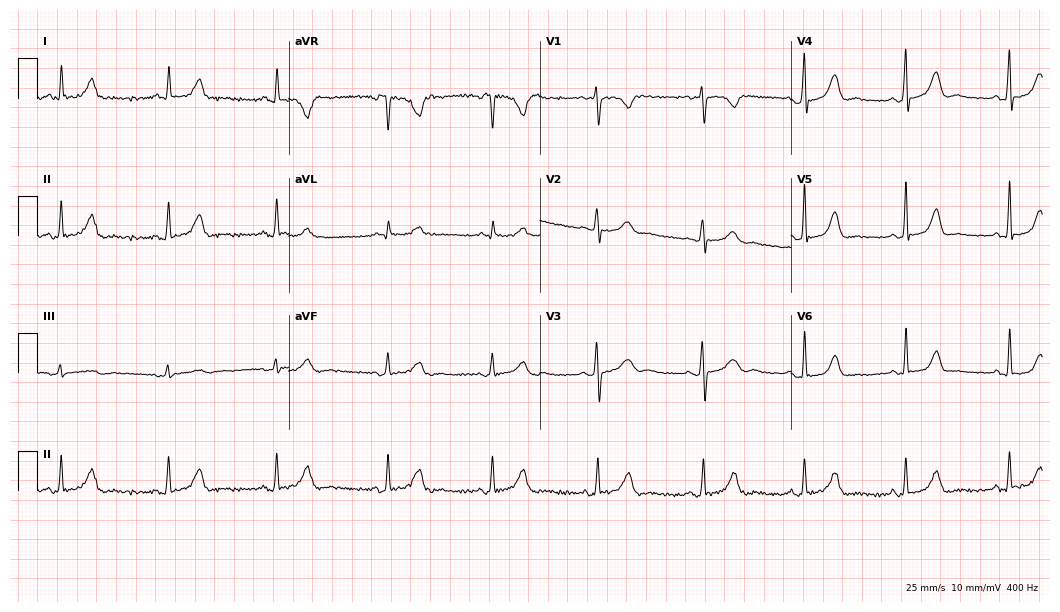
Standard 12-lead ECG recorded from a female, 46 years old. Read as a normal ECG.